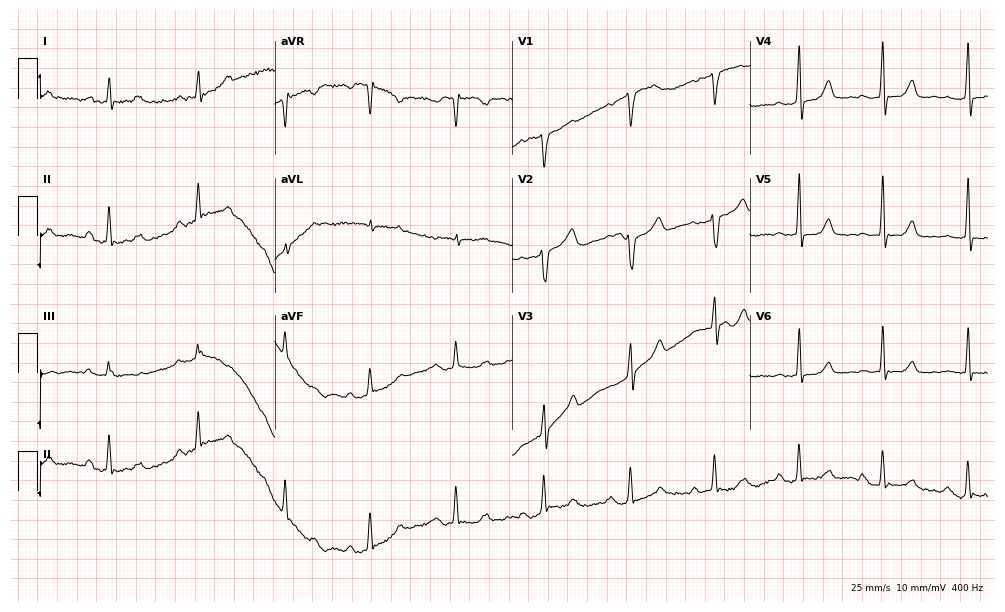
ECG (9.7-second recording at 400 Hz) — a female patient, 48 years old. Screened for six findings — first-degree AV block, right bundle branch block, left bundle branch block, sinus bradycardia, atrial fibrillation, sinus tachycardia — none is recorded. Only these six findings were labelled.